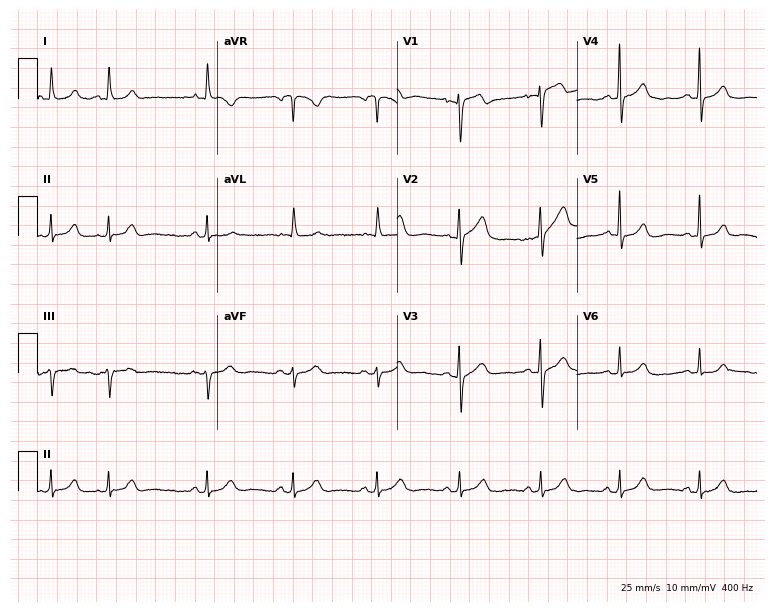
Standard 12-lead ECG recorded from a woman, 67 years old. Read as a normal ECG.